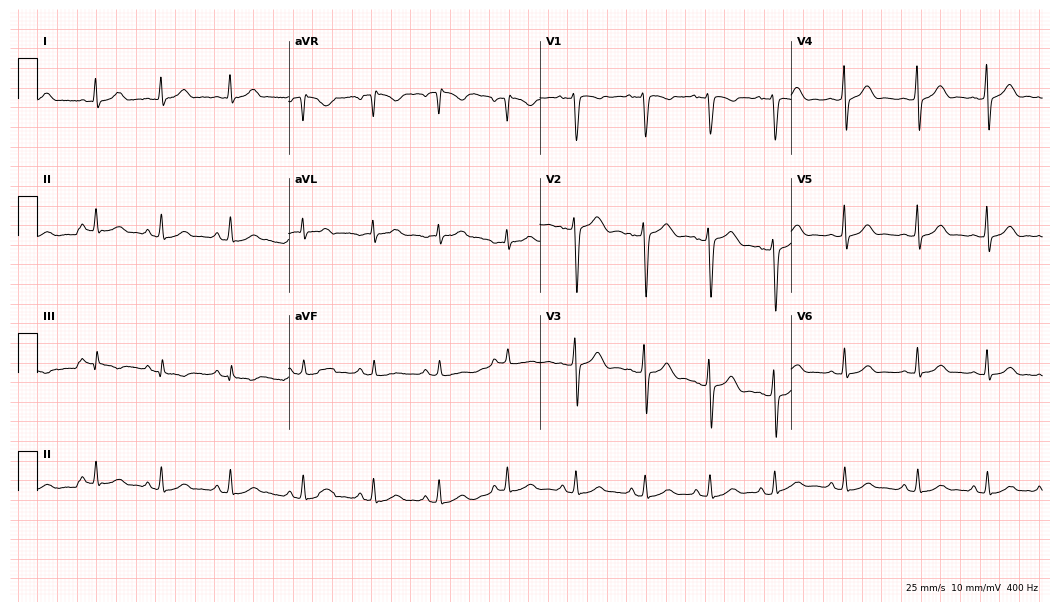
Standard 12-lead ECG recorded from a woman, 34 years old (10.2-second recording at 400 Hz). None of these six findings is recorded: first-degree AV block, right bundle branch block (RBBB), left bundle branch block (LBBB), sinus bradycardia, atrial fibrillation (AF), sinus tachycardia. Only these six findings were labelled.